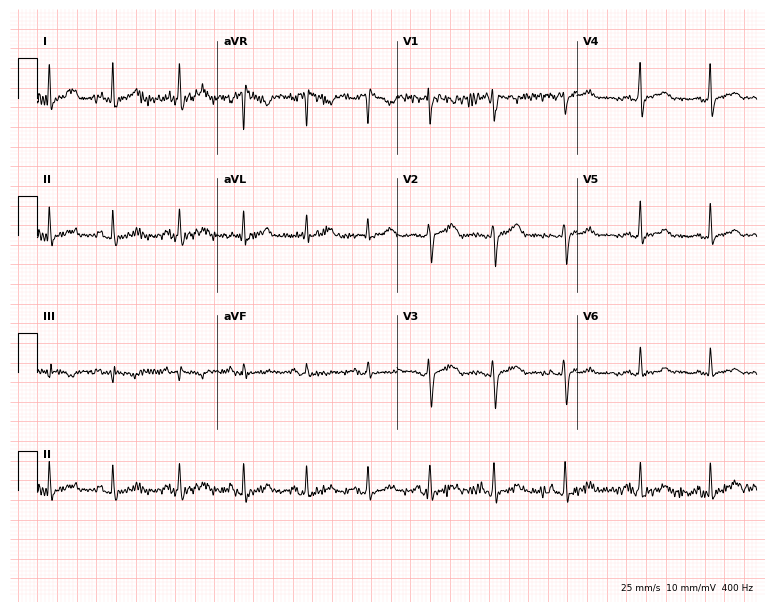
Standard 12-lead ECG recorded from a 35-year-old female patient. Read as a normal ECG.